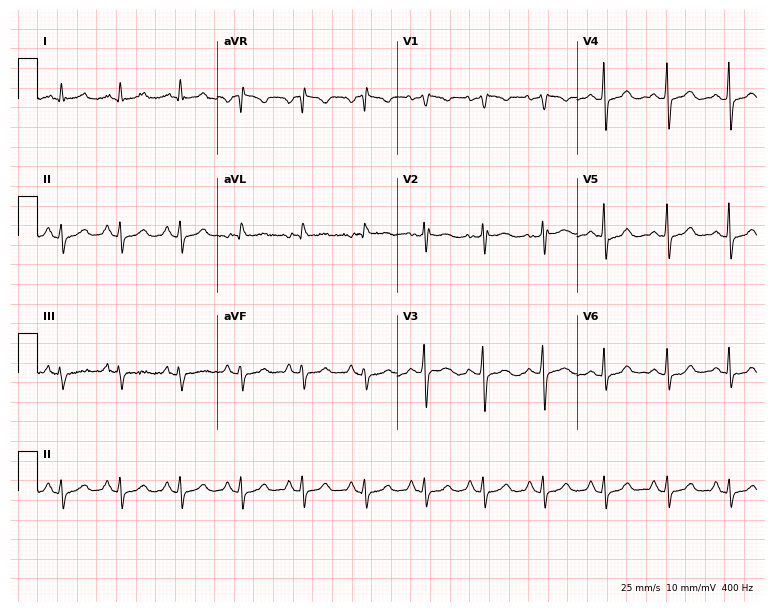
ECG — a 65-year-old woman. Screened for six findings — first-degree AV block, right bundle branch block, left bundle branch block, sinus bradycardia, atrial fibrillation, sinus tachycardia — none is recorded.